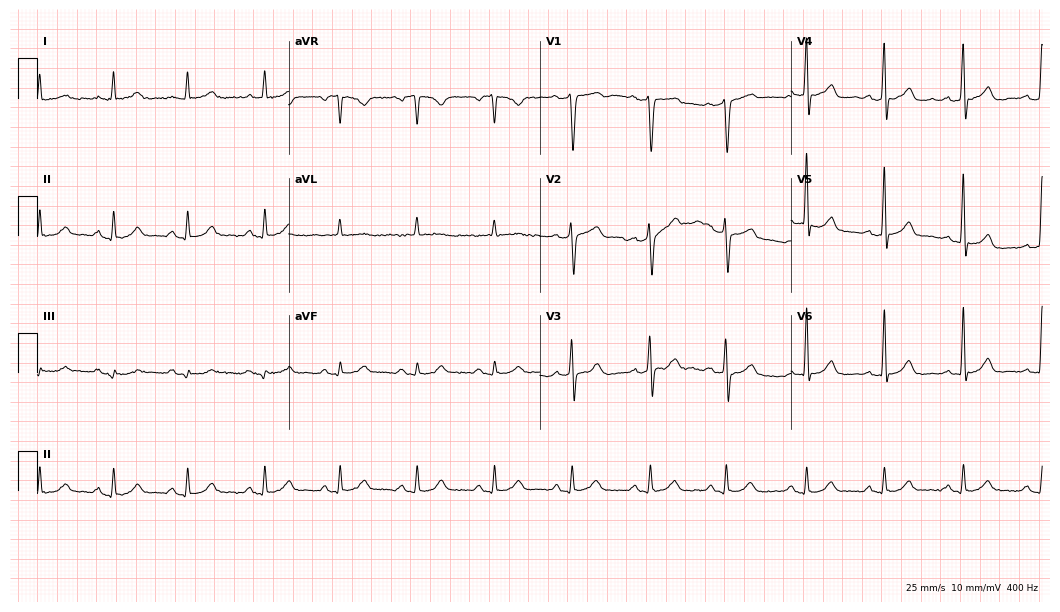
Standard 12-lead ECG recorded from a 71-year-old male patient (10.2-second recording at 400 Hz). Read as a normal ECG.